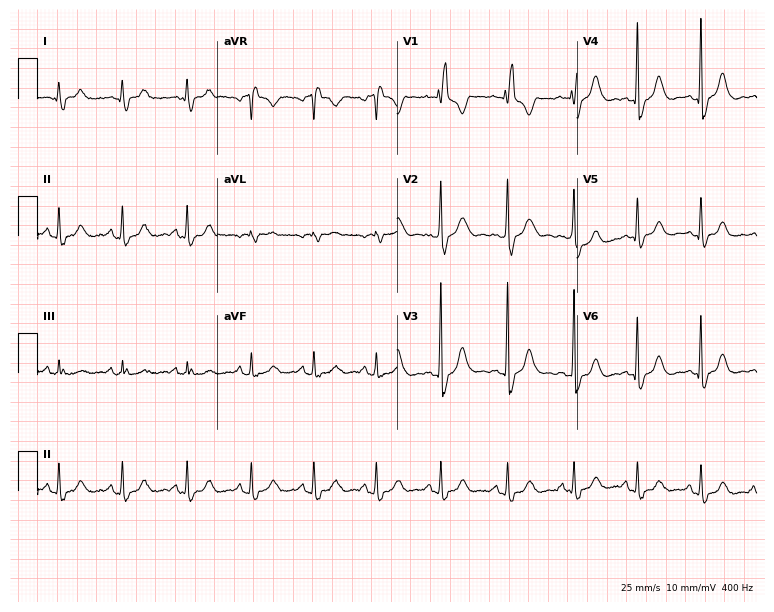
12-lead ECG from a 46-year-old woman. Screened for six findings — first-degree AV block, right bundle branch block (RBBB), left bundle branch block (LBBB), sinus bradycardia, atrial fibrillation (AF), sinus tachycardia — none is recorded. Findings outside these six are not listed.